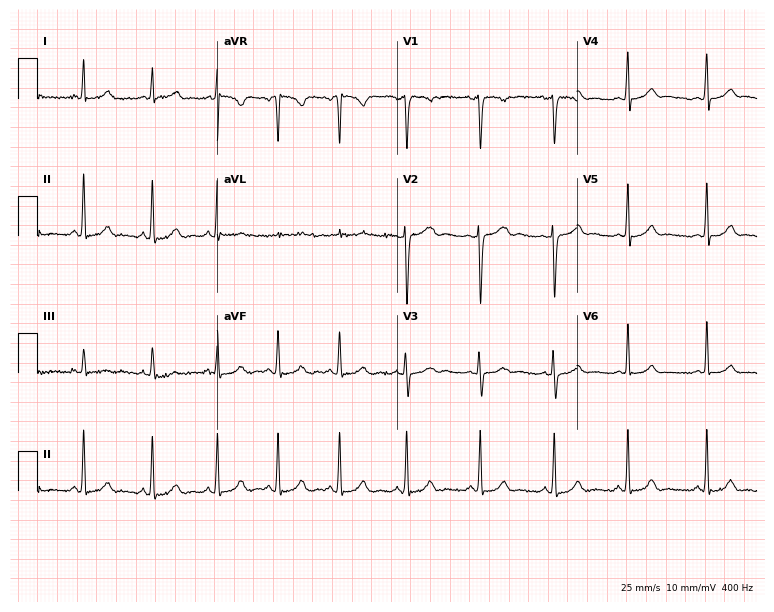
12-lead ECG from a 32-year-old female. Screened for six findings — first-degree AV block, right bundle branch block, left bundle branch block, sinus bradycardia, atrial fibrillation, sinus tachycardia — none is recorded. Only these six findings were labelled.